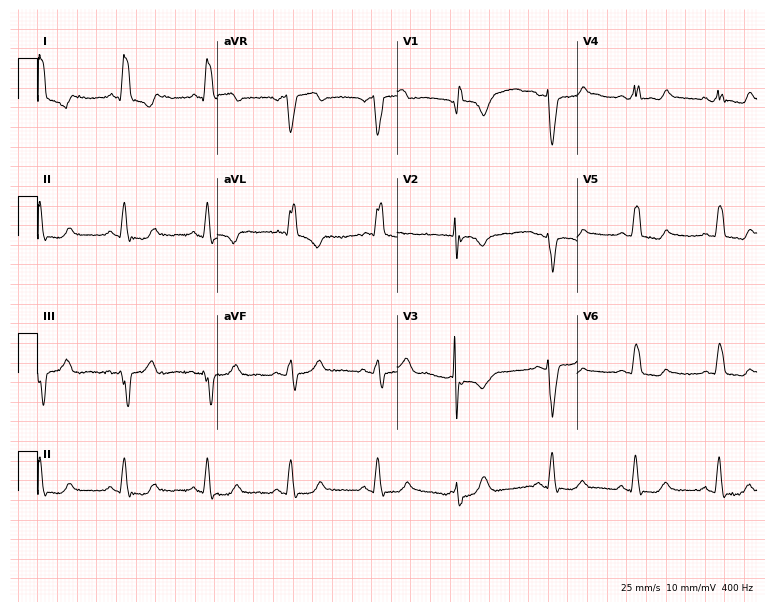
Resting 12-lead electrocardiogram (7.3-second recording at 400 Hz). Patient: a 71-year-old female. The tracing shows left bundle branch block (LBBB).